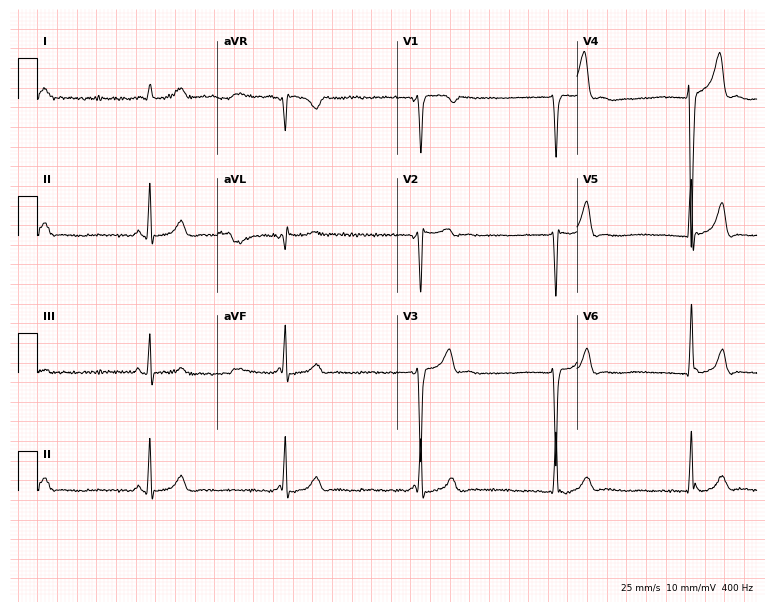
Electrocardiogram (7.3-second recording at 400 Hz), a 35-year-old female patient. Of the six screened findings (first-degree AV block, right bundle branch block, left bundle branch block, sinus bradycardia, atrial fibrillation, sinus tachycardia), none is recorded. Other findings, if any, are not listed.